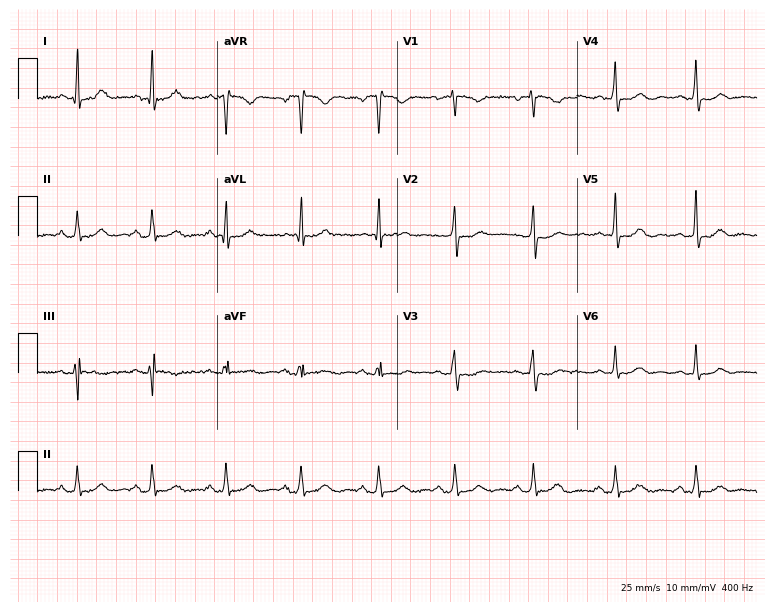
Standard 12-lead ECG recorded from a female, 63 years old (7.3-second recording at 400 Hz). Read as a normal ECG.